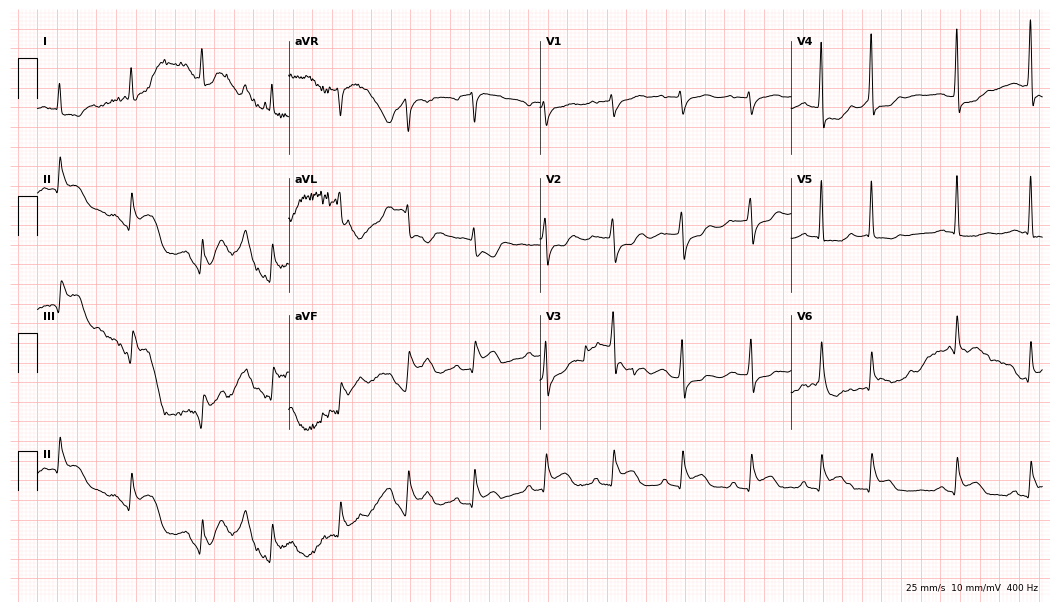
ECG (10.2-second recording at 400 Hz) — a 65-year-old female patient. Screened for six findings — first-degree AV block, right bundle branch block, left bundle branch block, sinus bradycardia, atrial fibrillation, sinus tachycardia — none is recorded.